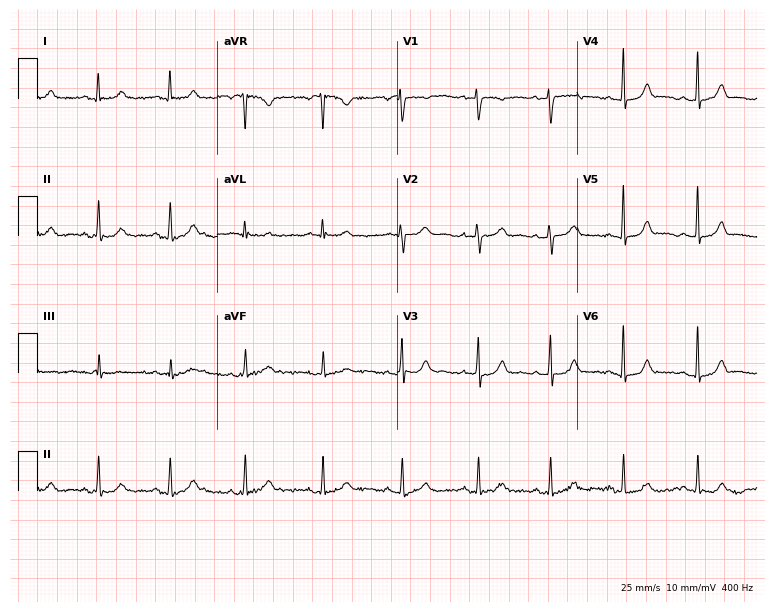
12-lead ECG from a woman, 30 years old (7.3-second recording at 400 Hz). Recorded interpretation: within normal limits.